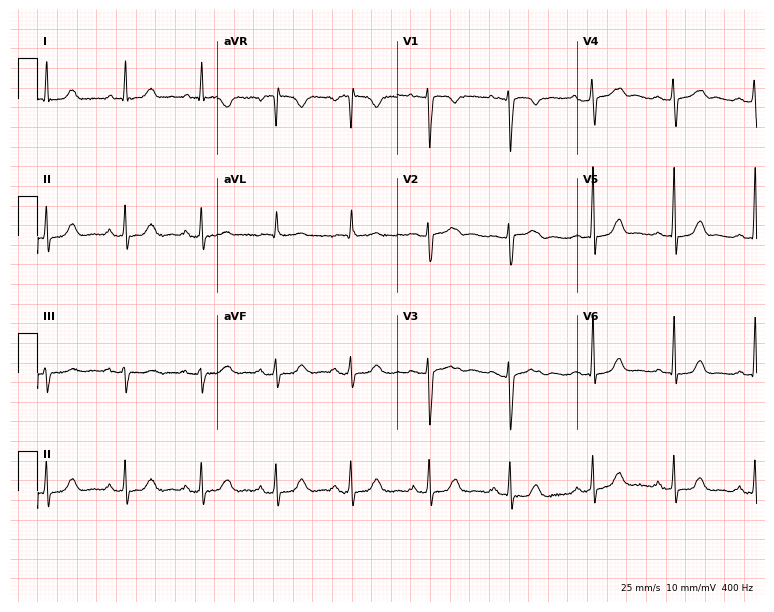
Standard 12-lead ECG recorded from a 39-year-old female. Read as a normal ECG.